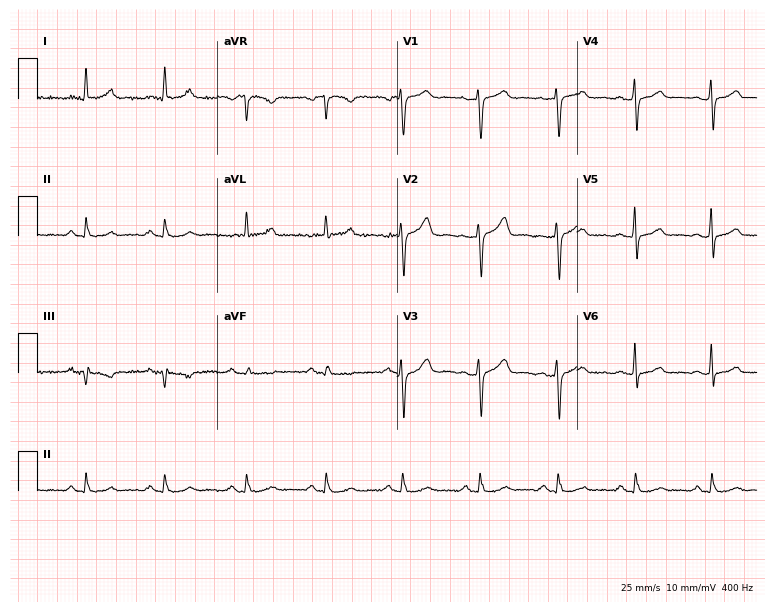
ECG (7.3-second recording at 400 Hz) — a 55-year-old female. Labelled as a normal ECG.